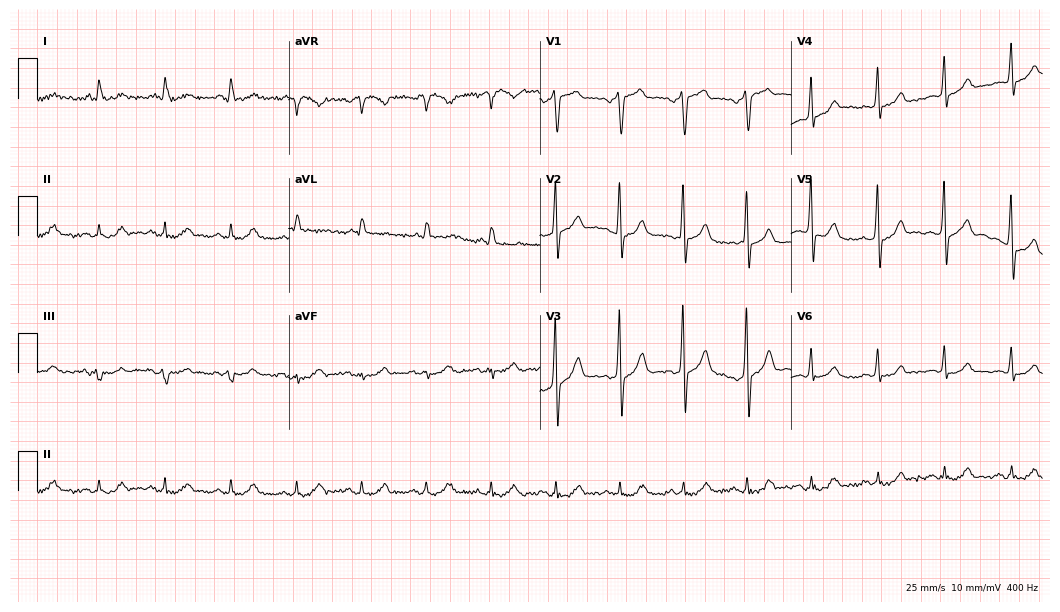
Standard 12-lead ECG recorded from an 84-year-old man. Read as a normal ECG.